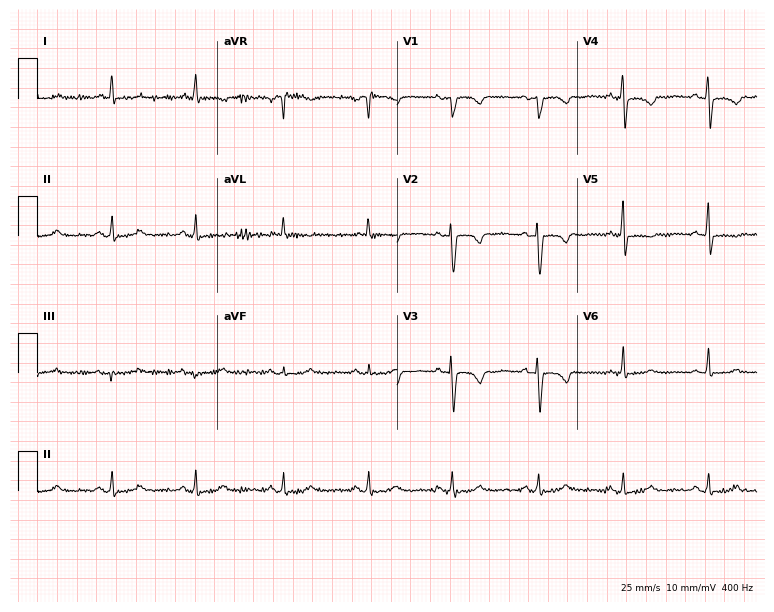
ECG (7.3-second recording at 400 Hz) — a female patient, 74 years old. Screened for six findings — first-degree AV block, right bundle branch block (RBBB), left bundle branch block (LBBB), sinus bradycardia, atrial fibrillation (AF), sinus tachycardia — none is recorded.